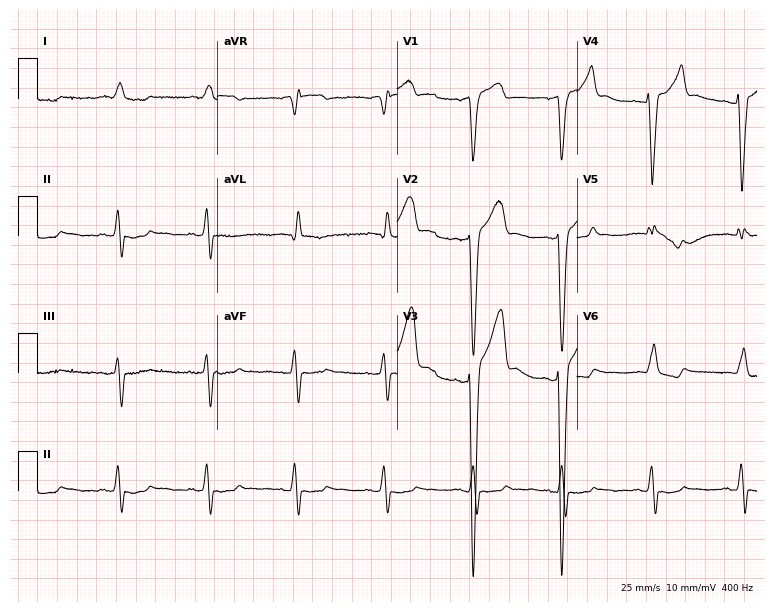
ECG — a woman, 83 years old. Findings include left bundle branch block (LBBB).